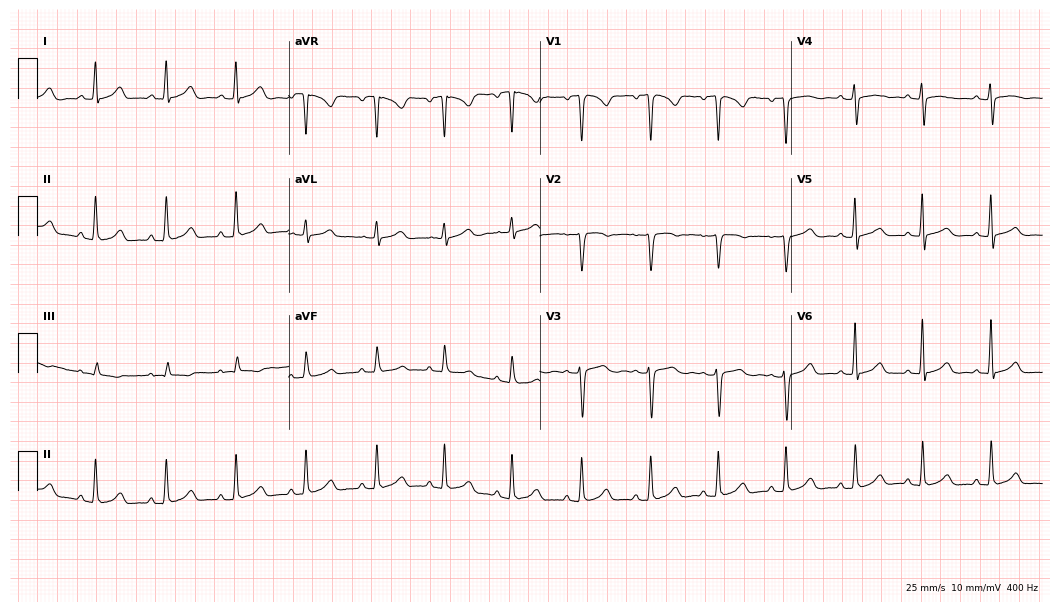
Electrocardiogram (10.2-second recording at 400 Hz), a woman, 31 years old. Overall reading on record: normal ECG.